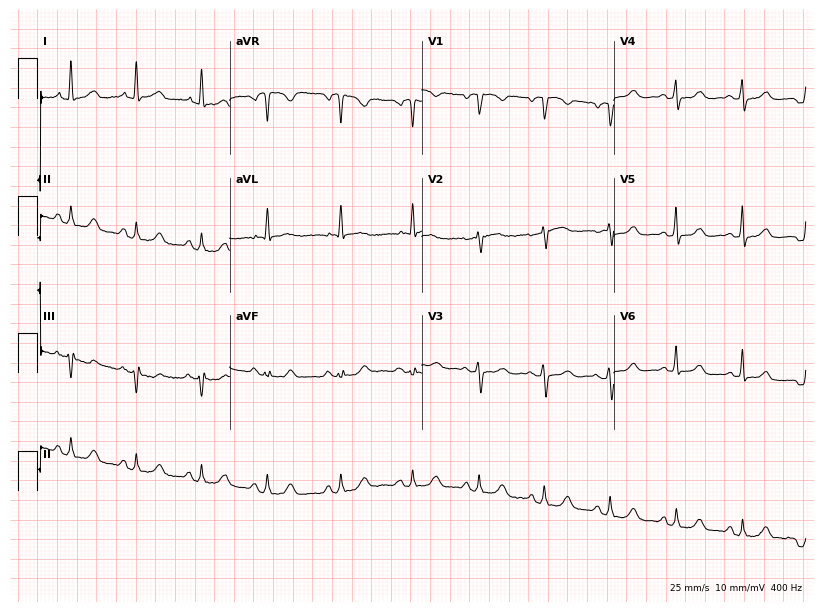
Resting 12-lead electrocardiogram (7.8-second recording at 400 Hz). Patient: a female, 58 years old. Read as a normal ECG.